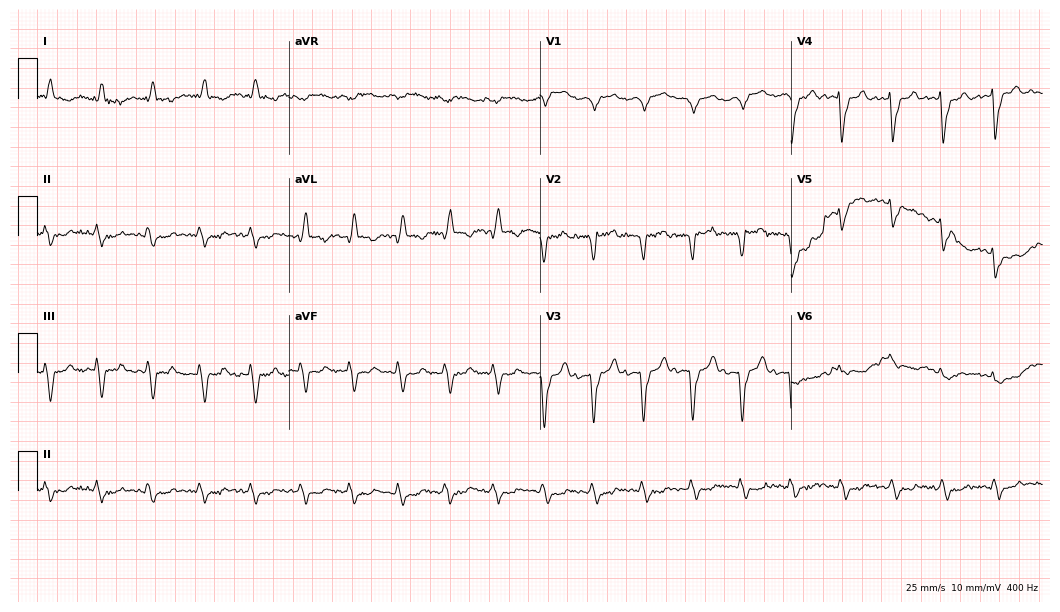
Standard 12-lead ECG recorded from a female, 81 years old (10.2-second recording at 400 Hz). None of these six findings is recorded: first-degree AV block, right bundle branch block (RBBB), left bundle branch block (LBBB), sinus bradycardia, atrial fibrillation (AF), sinus tachycardia.